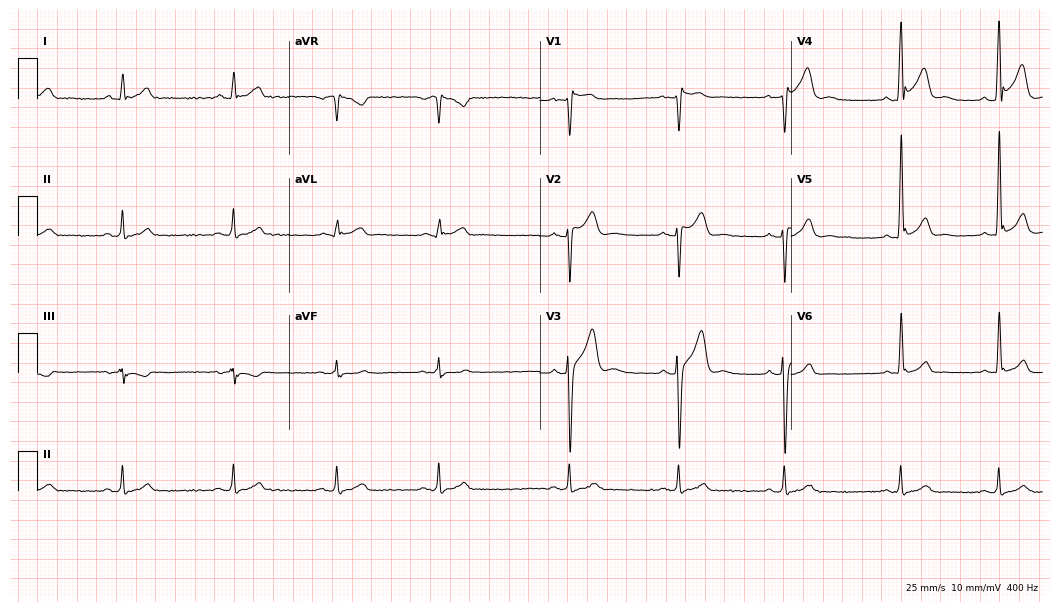
12-lead ECG (10.2-second recording at 400 Hz) from a 23-year-old male patient. Screened for six findings — first-degree AV block, right bundle branch block, left bundle branch block, sinus bradycardia, atrial fibrillation, sinus tachycardia — none is recorded.